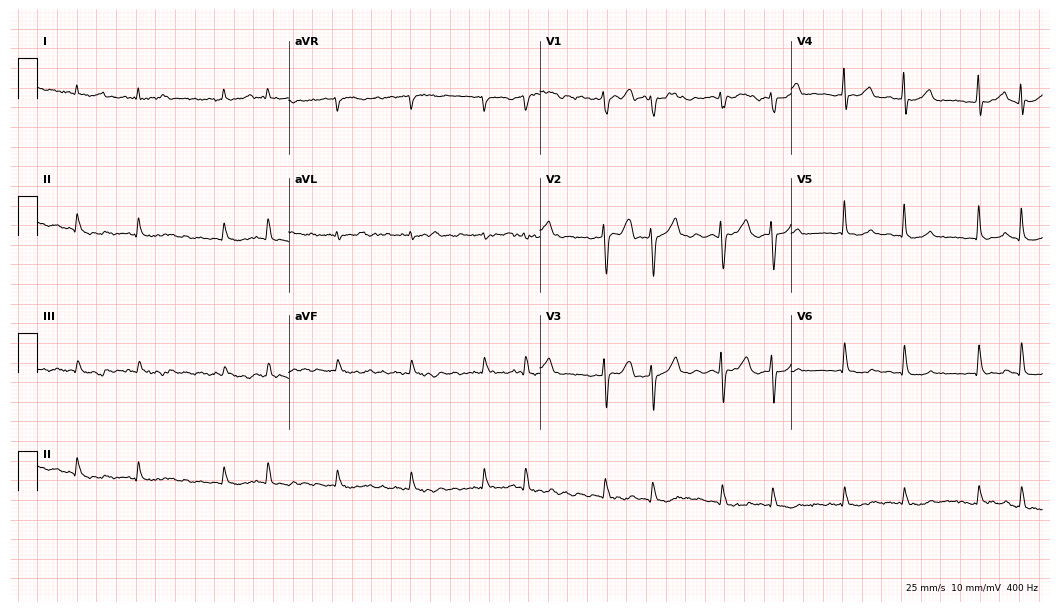
Electrocardiogram (10.2-second recording at 400 Hz), a male, 85 years old. Interpretation includes atrial fibrillation (AF).